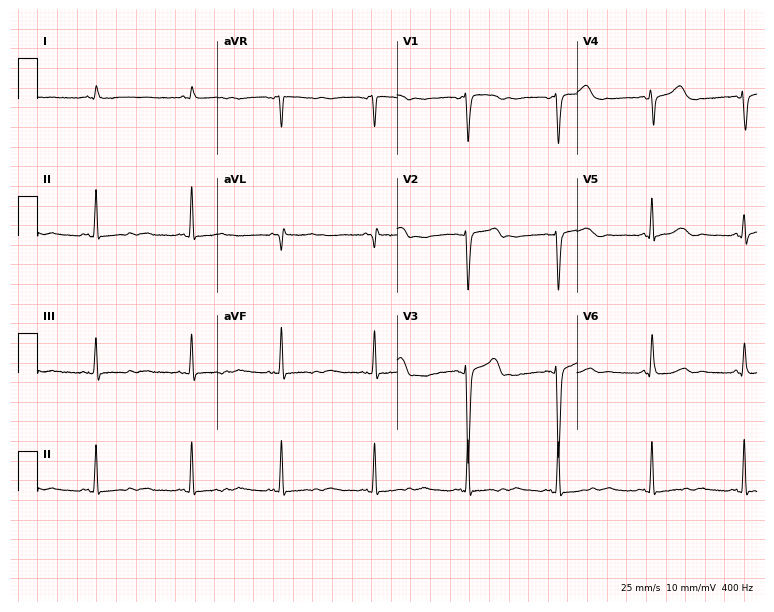
ECG — a male, 51 years old. Screened for six findings — first-degree AV block, right bundle branch block, left bundle branch block, sinus bradycardia, atrial fibrillation, sinus tachycardia — none is recorded.